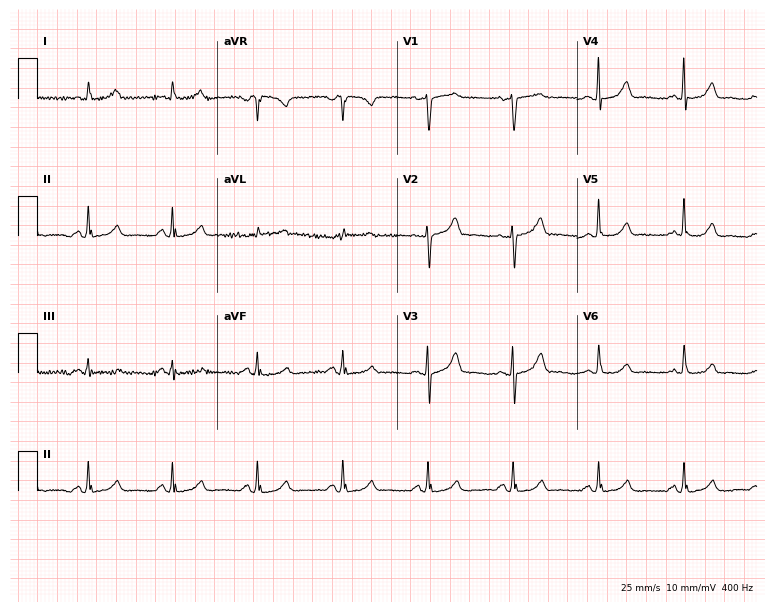
12-lead ECG from a woman, 73 years old. Labelled as a normal ECG.